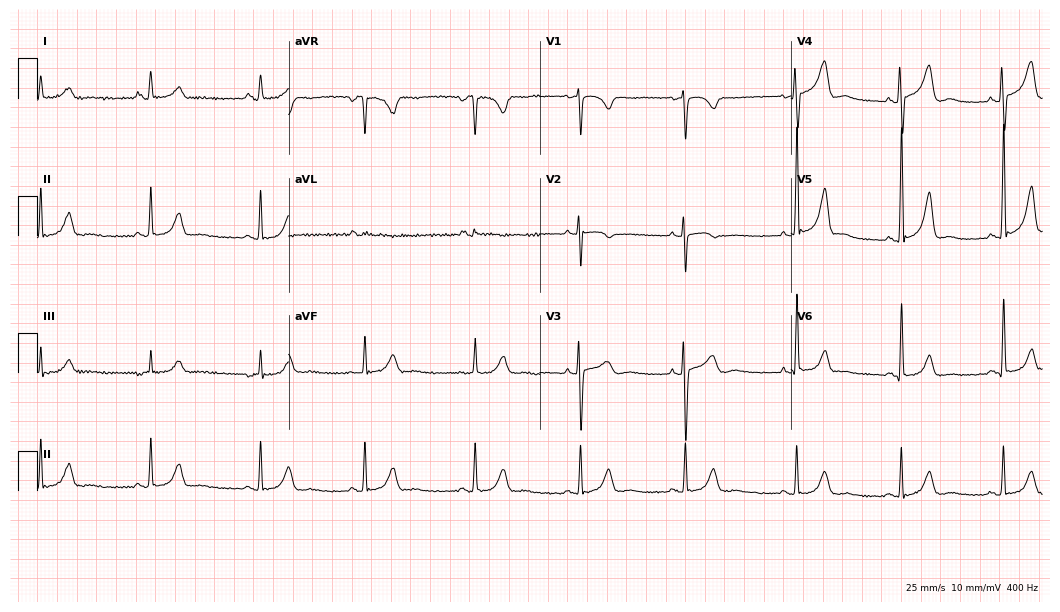
Resting 12-lead electrocardiogram. Patient: a female, 27 years old. None of these six findings is recorded: first-degree AV block, right bundle branch block, left bundle branch block, sinus bradycardia, atrial fibrillation, sinus tachycardia.